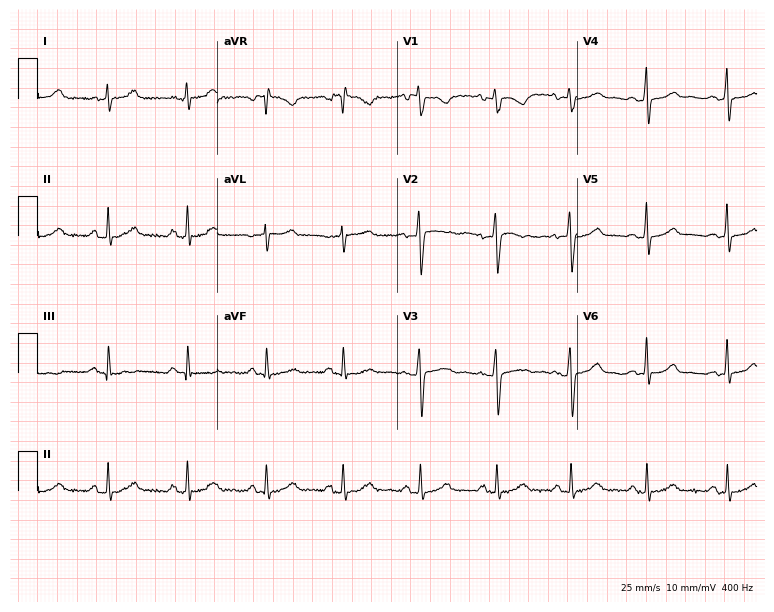
12-lead ECG from a woman, 41 years old (7.3-second recording at 400 Hz). Recorded interpretation: within normal limits.